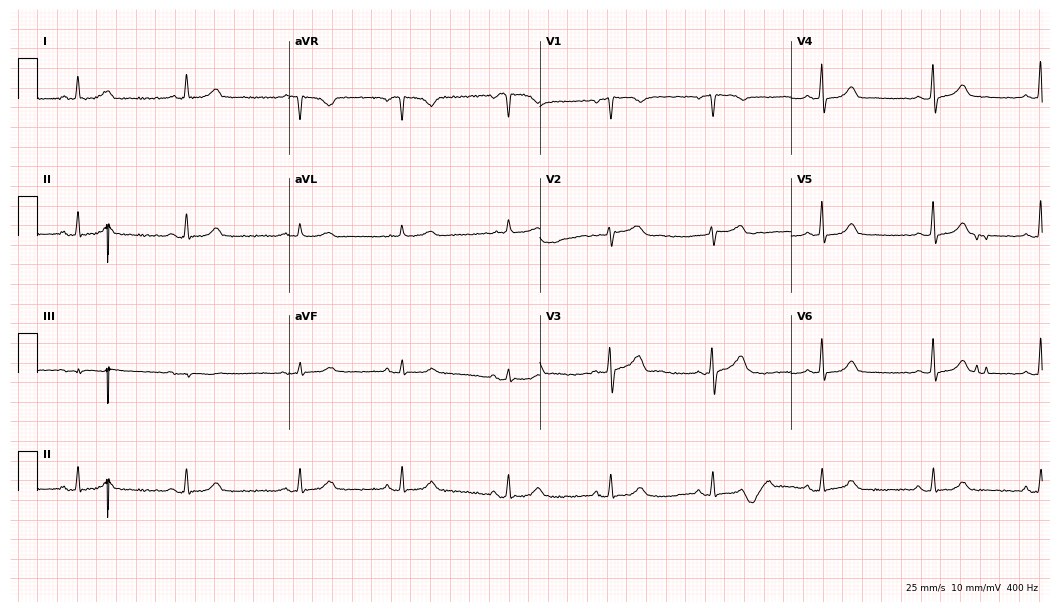
Standard 12-lead ECG recorded from a 55-year-old woman (10.2-second recording at 400 Hz). Read as a normal ECG.